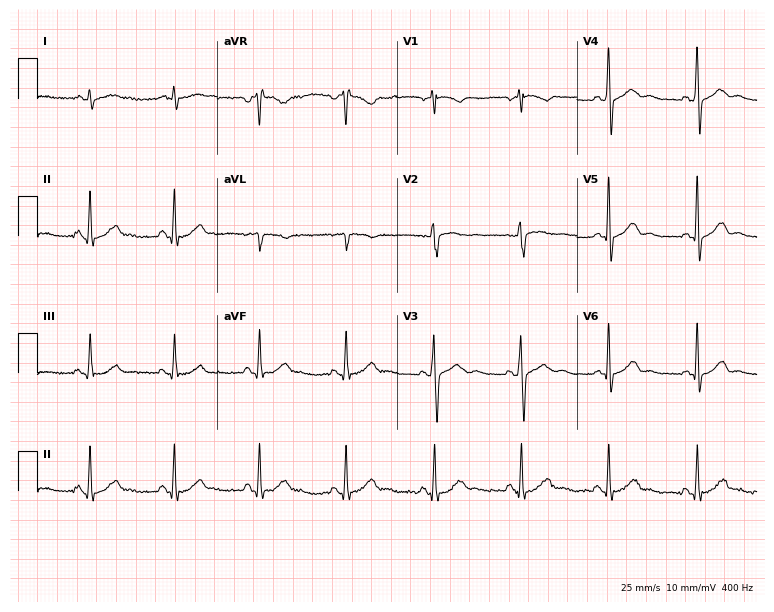
Standard 12-lead ECG recorded from a man, 76 years old (7.3-second recording at 400 Hz). Read as a normal ECG.